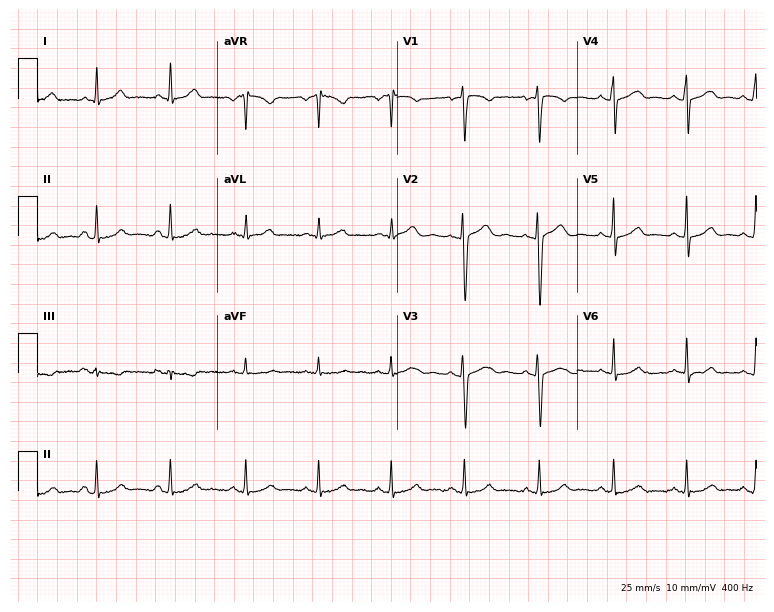
ECG — a female patient, 27 years old. Labelled as a normal ECG.